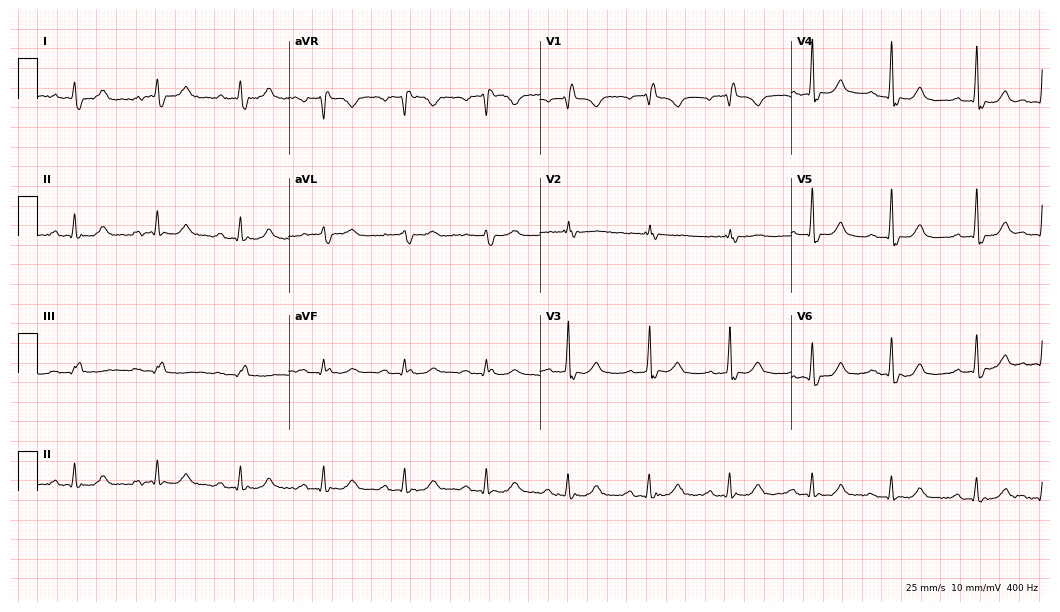
Standard 12-lead ECG recorded from a male, 82 years old (10.2-second recording at 400 Hz). None of these six findings is recorded: first-degree AV block, right bundle branch block, left bundle branch block, sinus bradycardia, atrial fibrillation, sinus tachycardia.